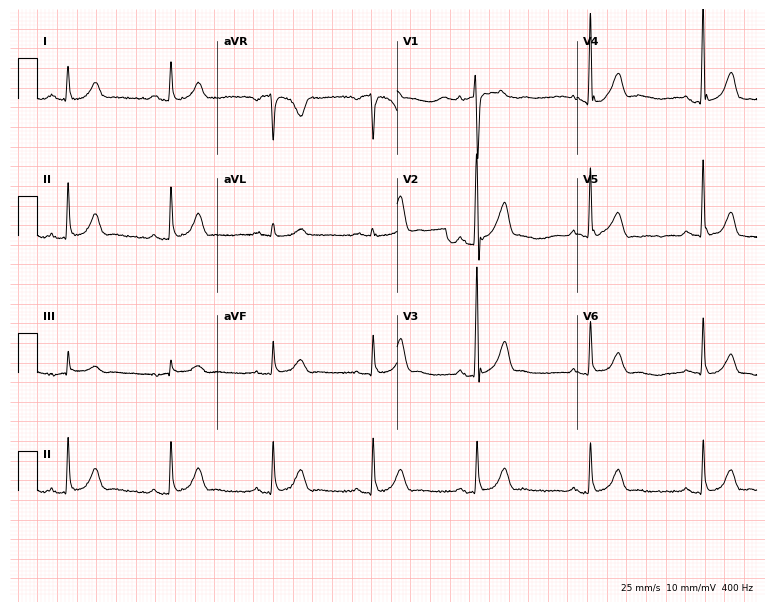
Standard 12-lead ECG recorded from a man, 39 years old (7.3-second recording at 400 Hz). Read as a normal ECG.